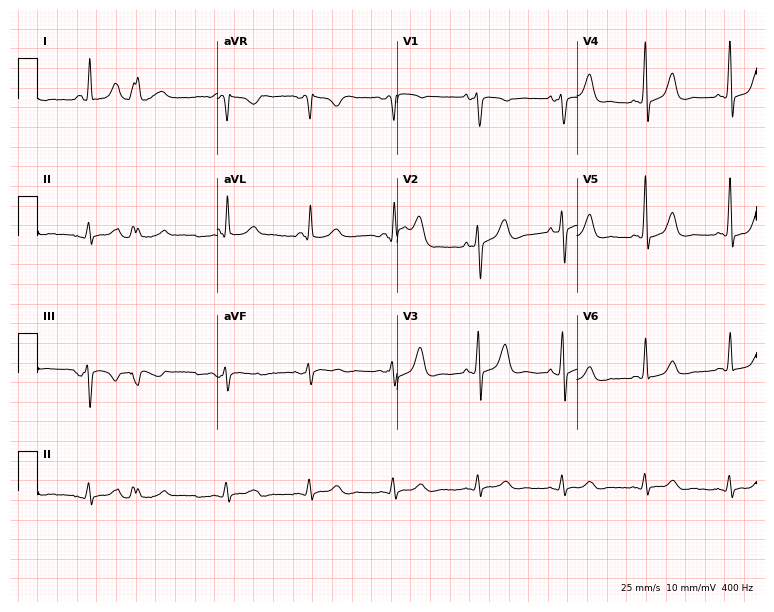
Electrocardiogram, a 79-year-old female. Of the six screened findings (first-degree AV block, right bundle branch block, left bundle branch block, sinus bradycardia, atrial fibrillation, sinus tachycardia), none is recorded.